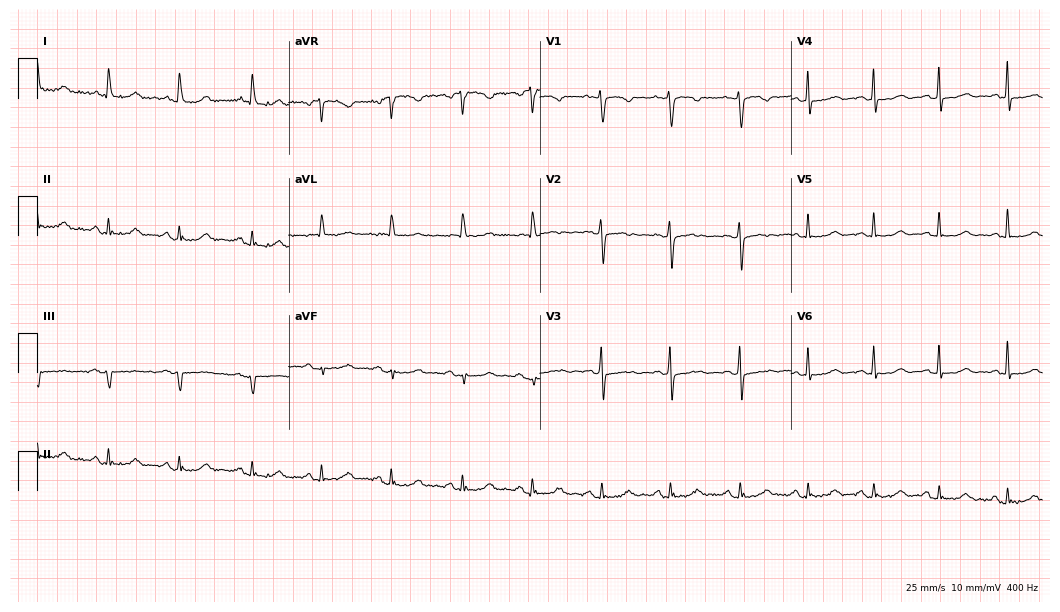
Resting 12-lead electrocardiogram. Patient: a 60-year-old female. None of these six findings is recorded: first-degree AV block, right bundle branch block (RBBB), left bundle branch block (LBBB), sinus bradycardia, atrial fibrillation (AF), sinus tachycardia. Only these six findings were labelled.